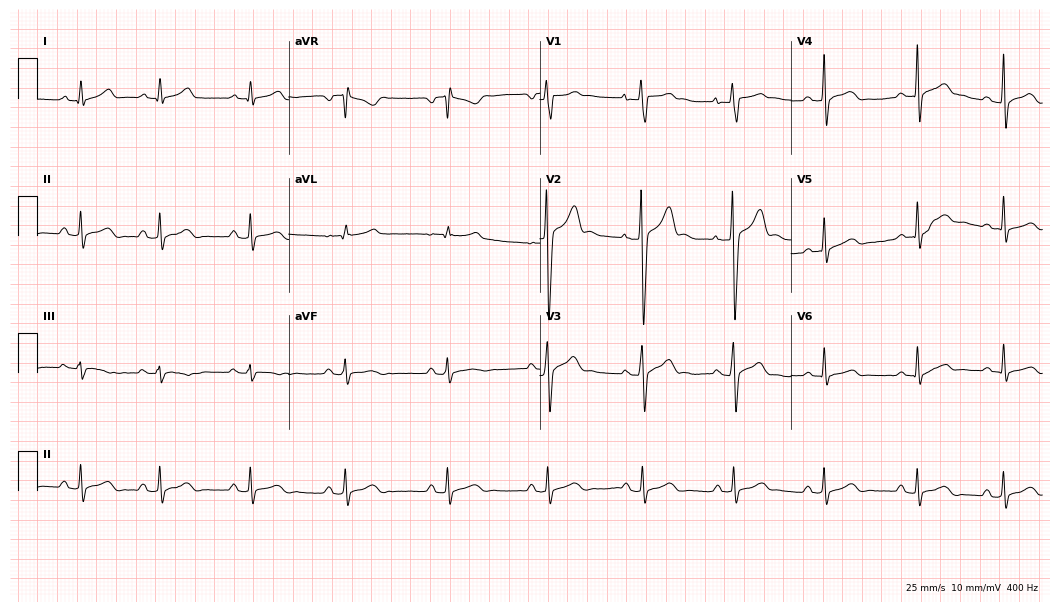
ECG (10.2-second recording at 400 Hz) — a 25-year-old man. Labelled as a normal ECG.